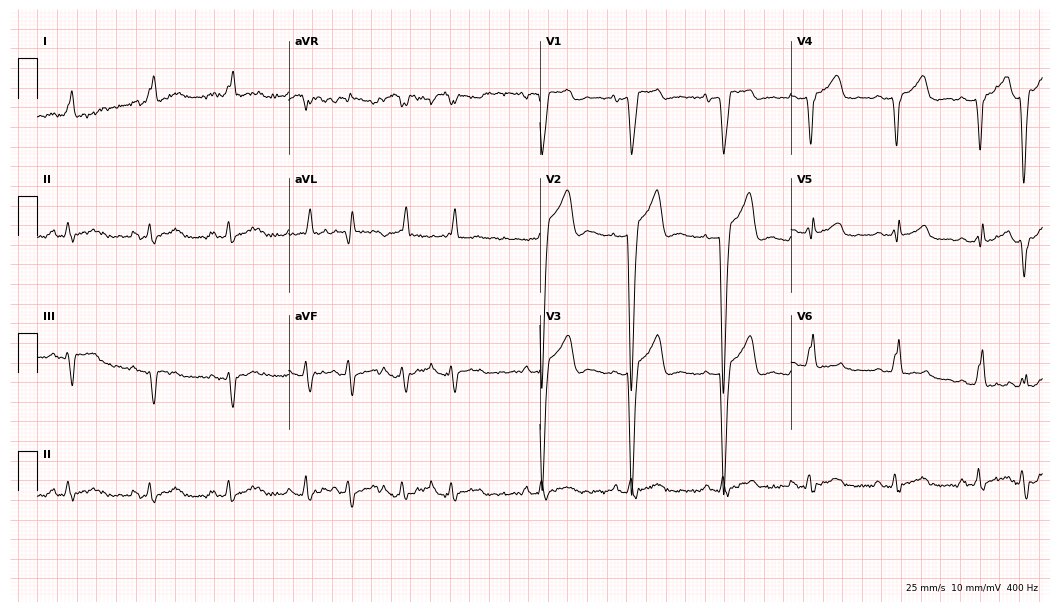
Standard 12-lead ECG recorded from a 70-year-old woman. None of these six findings is recorded: first-degree AV block, right bundle branch block, left bundle branch block, sinus bradycardia, atrial fibrillation, sinus tachycardia. Findings outside these six are not listed.